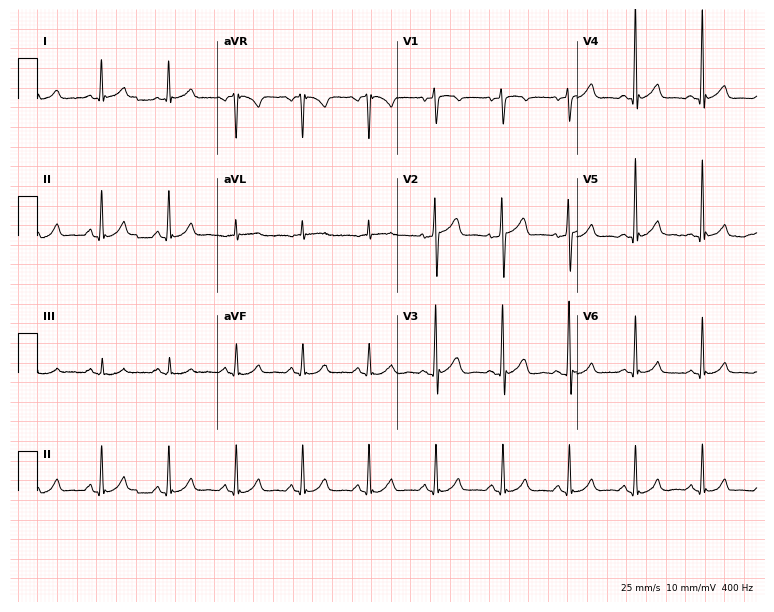
ECG (7.3-second recording at 400 Hz) — a male, 70 years old. Labelled as a normal ECG.